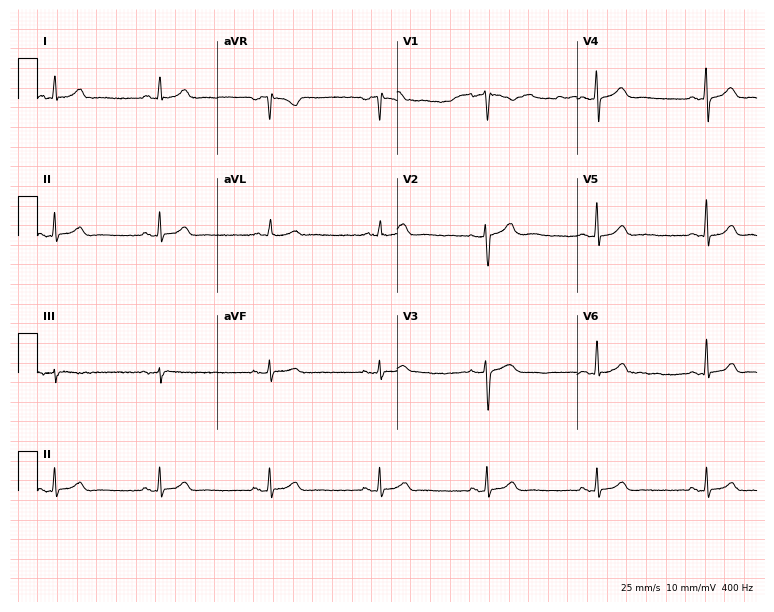
12-lead ECG from a 48-year-old female. Recorded interpretation: within normal limits.